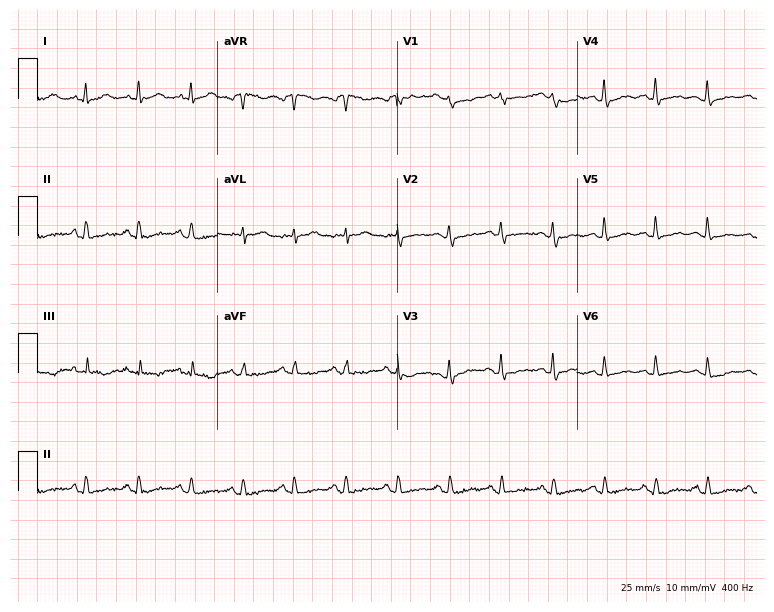
Electrocardiogram, a woman, 48 years old. Of the six screened findings (first-degree AV block, right bundle branch block, left bundle branch block, sinus bradycardia, atrial fibrillation, sinus tachycardia), none is recorded.